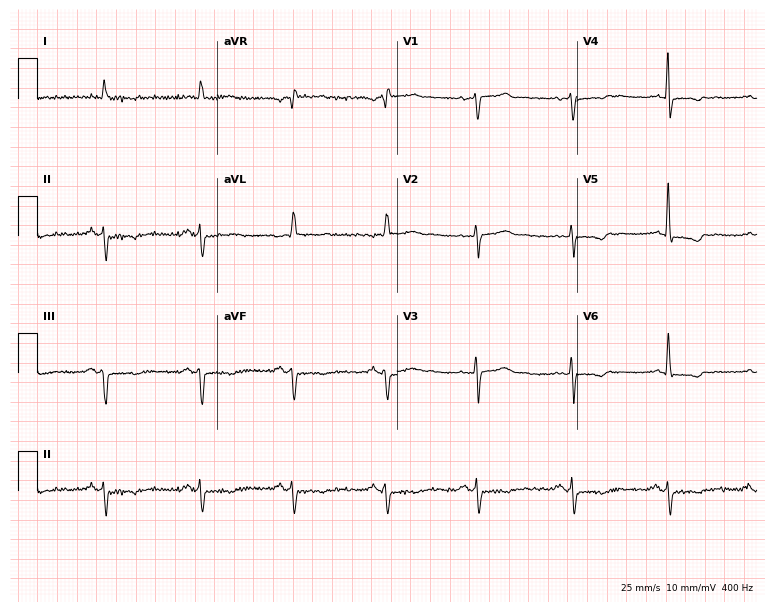
12-lead ECG from a 70-year-old male patient. Screened for six findings — first-degree AV block, right bundle branch block (RBBB), left bundle branch block (LBBB), sinus bradycardia, atrial fibrillation (AF), sinus tachycardia — none is recorded.